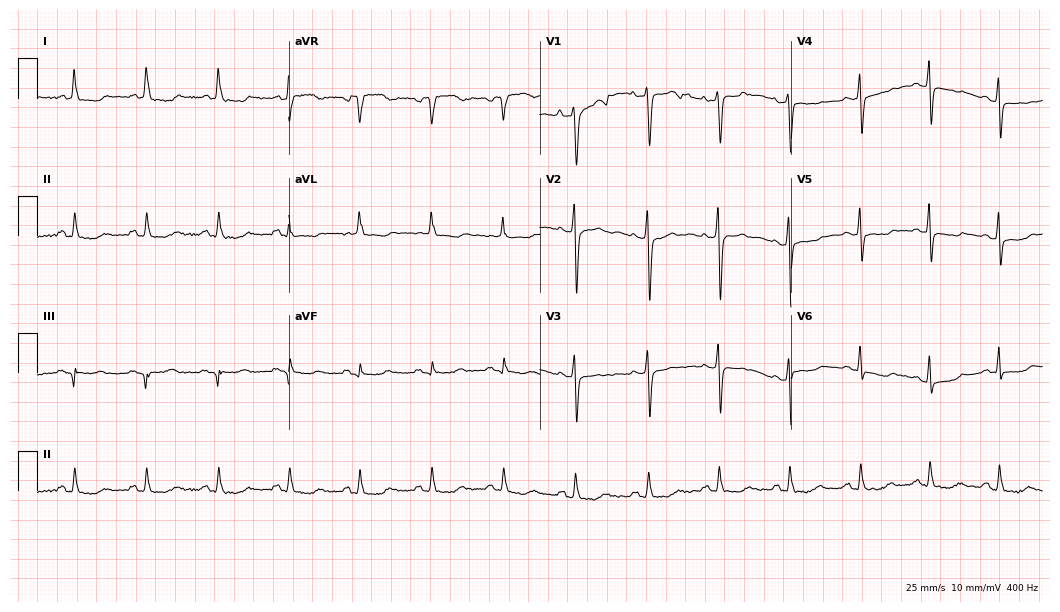
Resting 12-lead electrocardiogram. Patient: a woman, 64 years old. None of these six findings is recorded: first-degree AV block, right bundle branch block, left bundle branch block, sinus bradycardia, atrial fibrillation, sinus tachycardia.